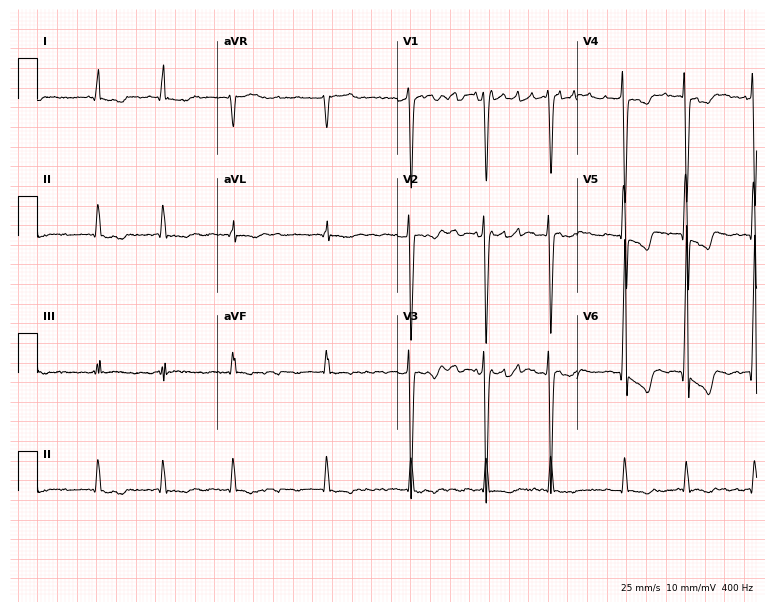
Electrocardiogram (7.3-second recording at 400 Hz), a man, 74 years old. Interpretation includes atrial fibrillation (AF).